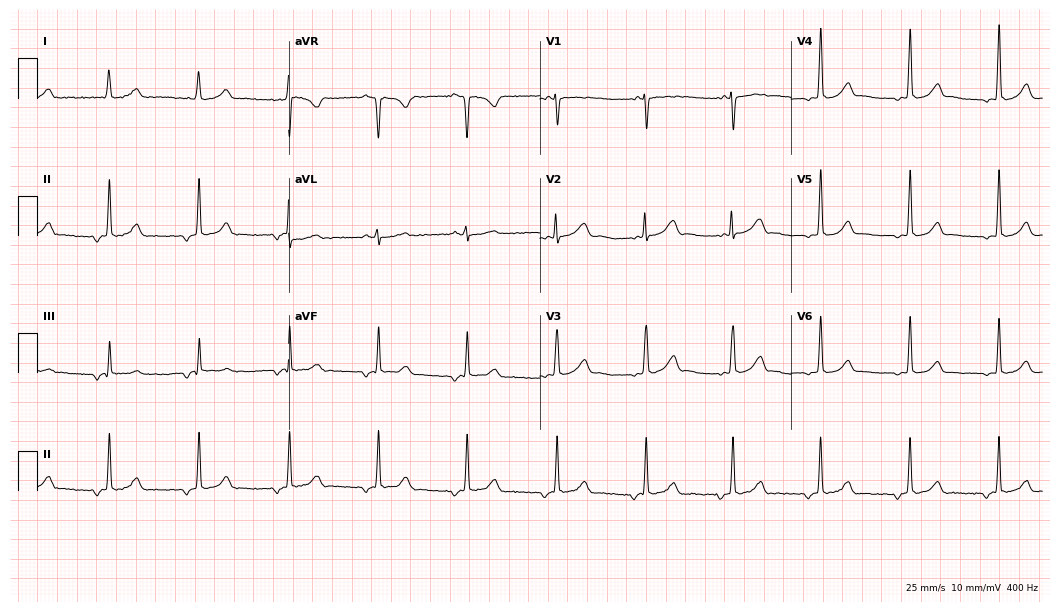
Standard 12-lead ECG recorded from a female patient, 24 years old (10.2-second recording at 400 Hz). Read as a normal ECG.